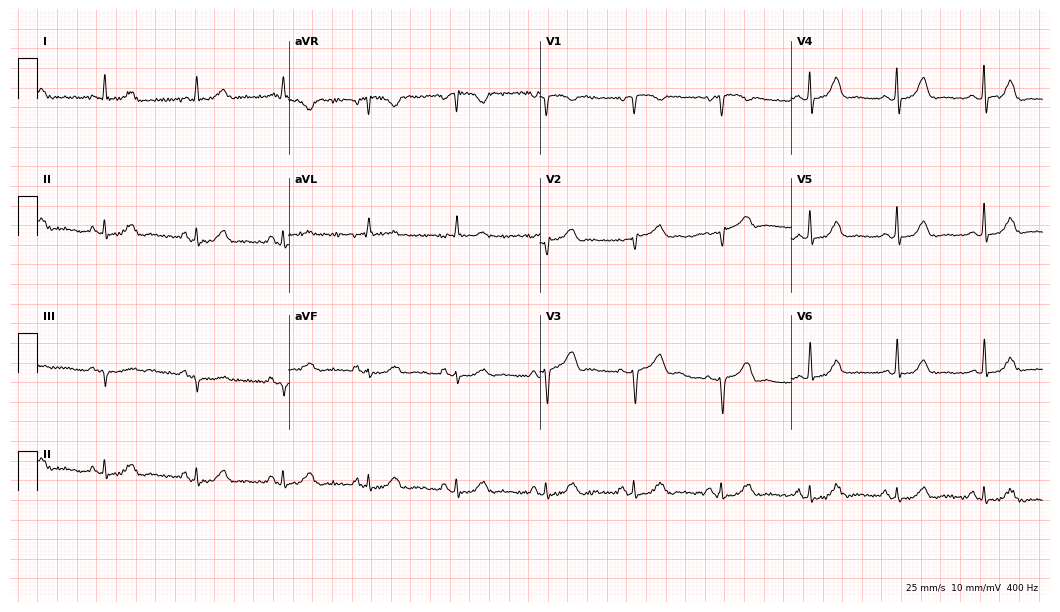
Resting 12-lead electrocardiogram. Patient: a female, 69 years old. None of these six findings is recorded: first-degree AV block, right bundle branch block (RBBB), left bundle branch block (LBBB), sinus bradycardia, atrial fibrillation (AF), sinus tachycardia. Findings outside these six are not listed.